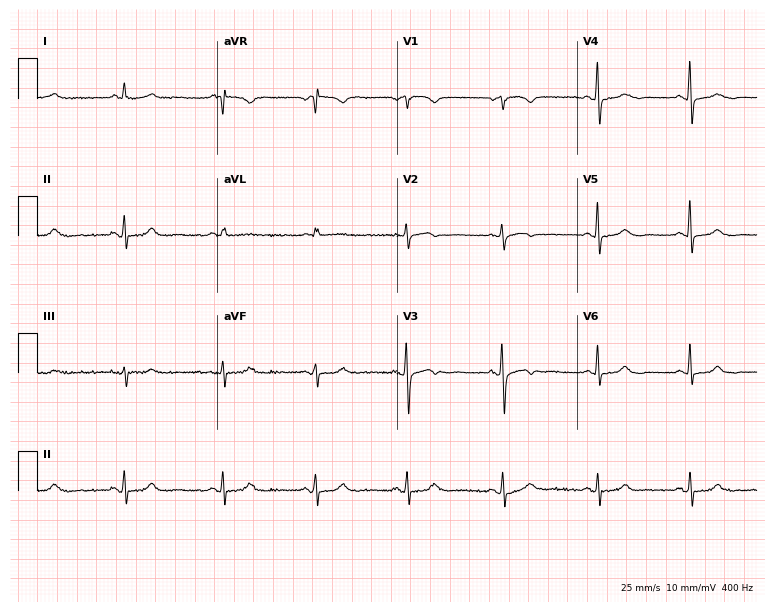
ECG (7.3-second recording at 400 Hz) — a woman, 69 years old. Screened for six findings — first-degree AV block, right bundle branch block (RBBB), left bundle branch block (LBBB), sinus bradycardia, atrial fibrillation (AF), sinus tachycardia — none is recorded.